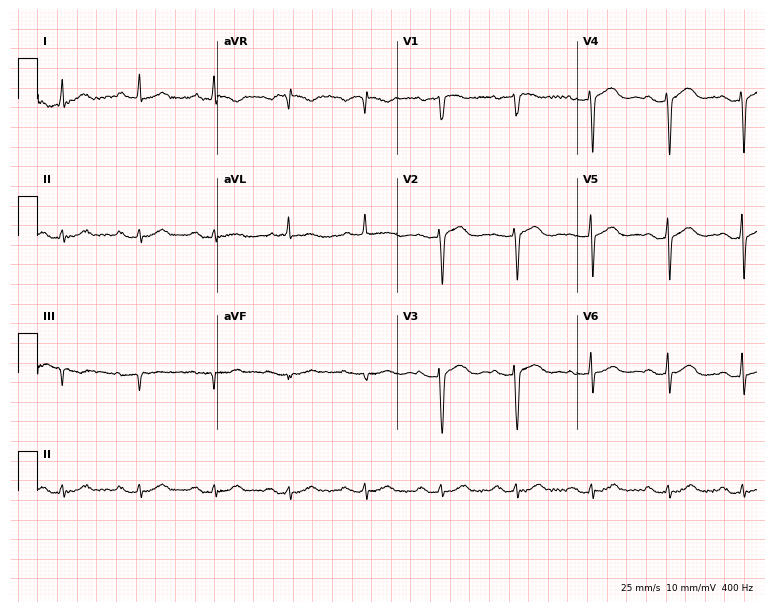
Standard 12-lead ECG recorded from a 76-year-old female (7.3-second recording at 400 Hz). Read as a normal ECG.